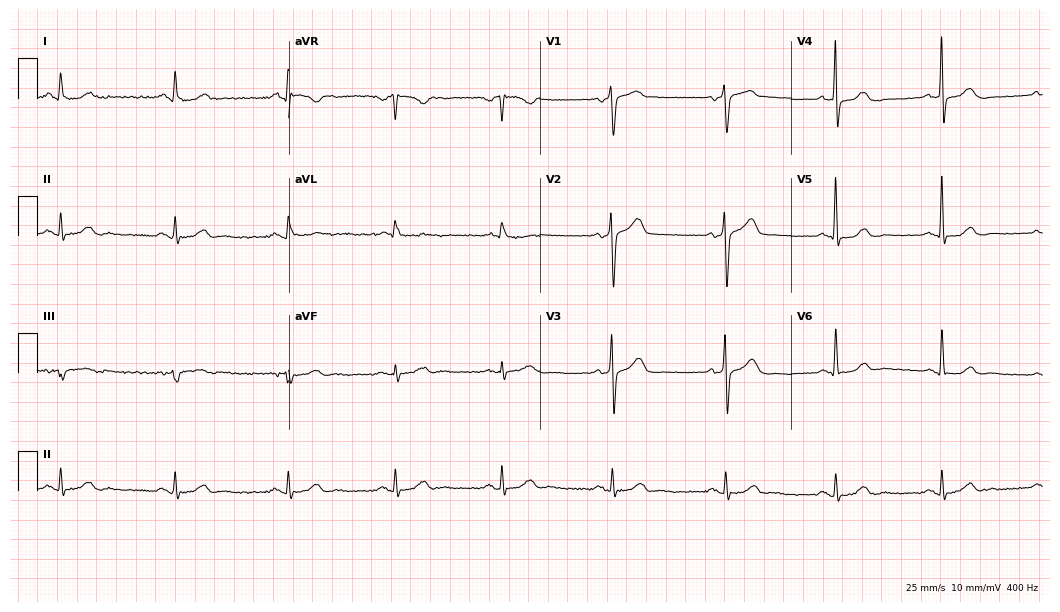
12-lead ECG (10.2-second recording at 400 Hz) from a 55-year-old man. Screened for six findings — first-degree AV block, right bundle branch block, left bundle branch block, sinus bradycardia, atrial fibrillation, sinus tachycardia — none is recorded. Only these six findings were labelled.